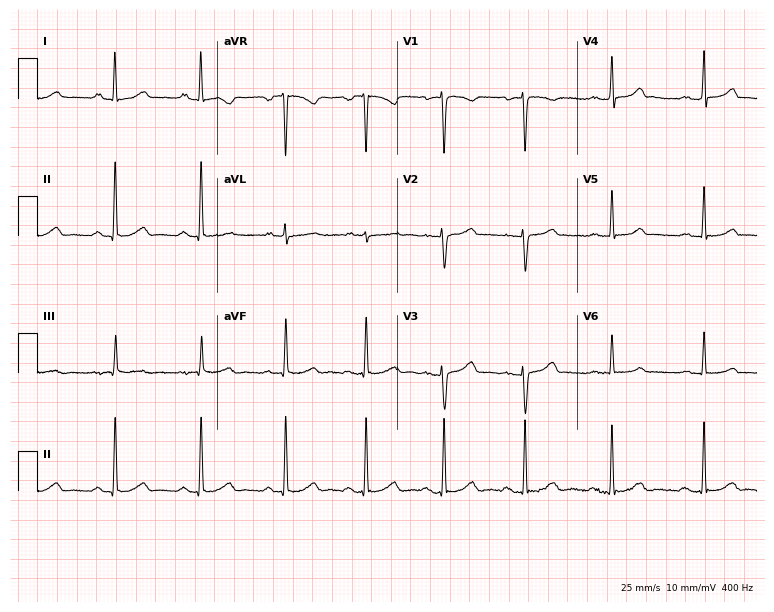
Resting 12-lead electrocardiogram. Patient: a 30-year-old female. Read as a normal ECG.